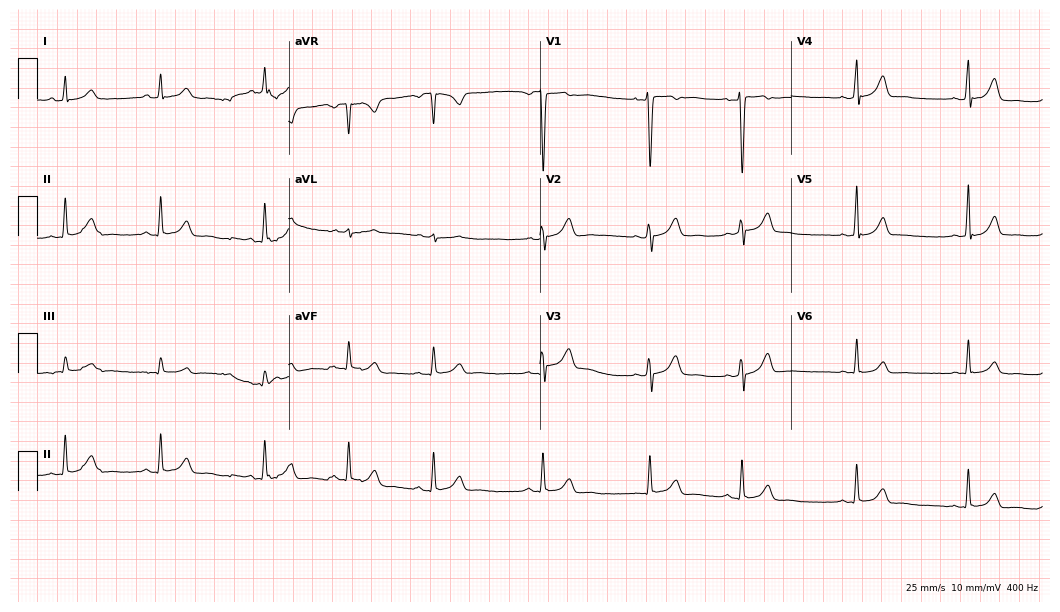
ECG — a female patient, 18 years old. Screened for six findings — first-degree AV block, right bundle branch block (RBBB), left bundle branch block (LBBB), sinus bradycardia, atrial fibrillation (AF), sinus tachycardia — none is recorded.